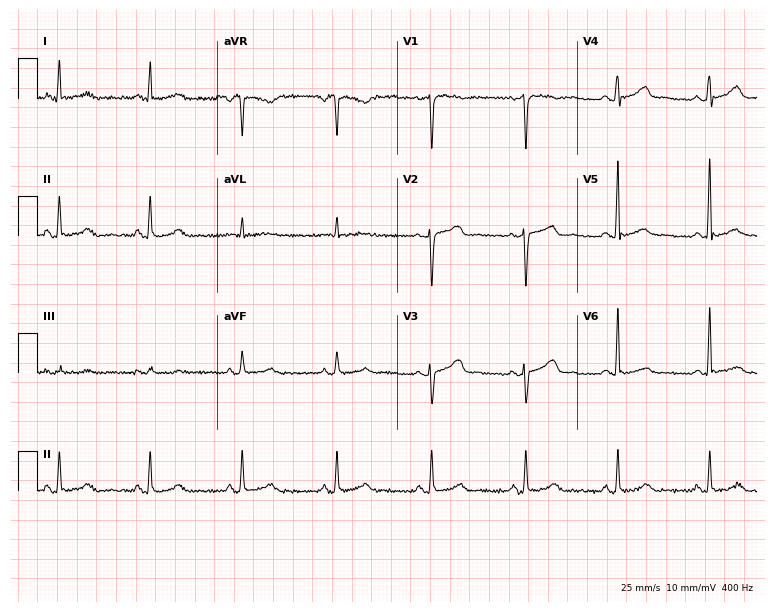
Resting 12-lead electrocardiogram (7.3-second recording at 400 Hz). Patient: a woman, 48 years old. Read as a normal ECG.